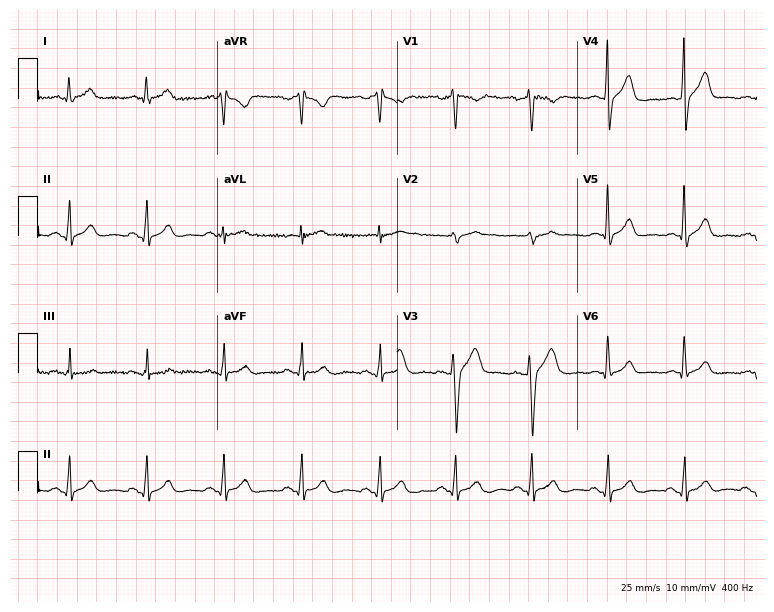
12-lead ECG from a 28-year-old male patient. Labelled as a normal ECG.